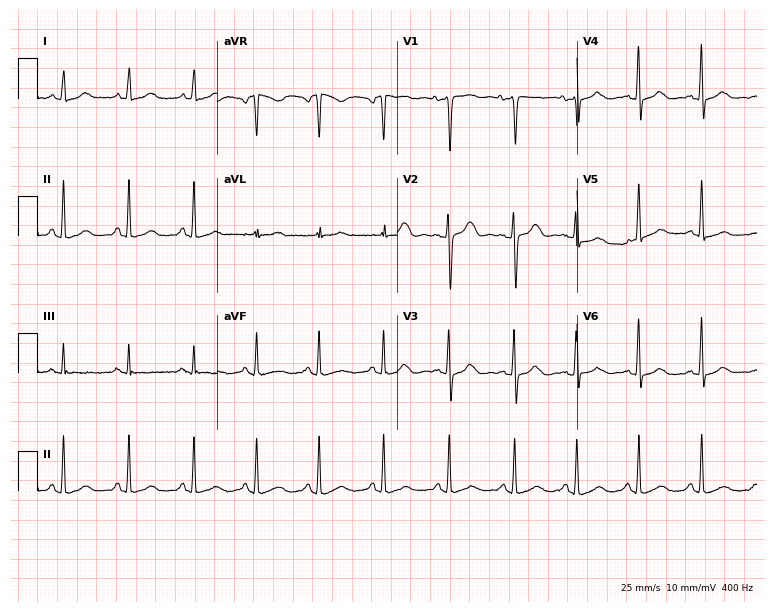
Standard 12-lead ECG recorded from a 38-year-old female (7.3-second recording at 400 Hz). Read as a normal ECG.